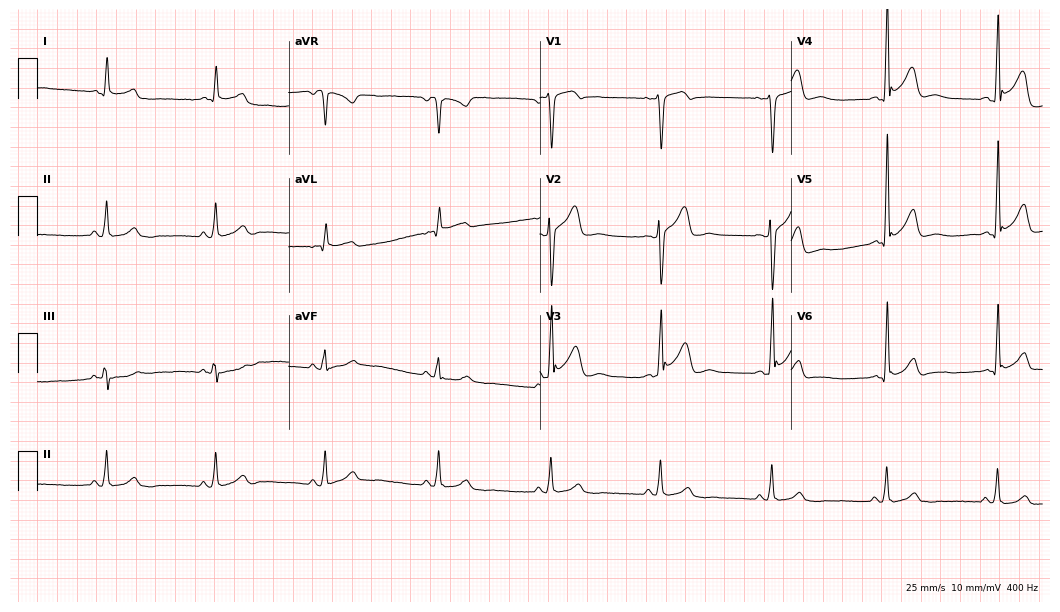
12-lead ECG from a man, 44 years old. No first-degree AV block, right bundle branch block (RBBB), left bundle branch block (LBBB), sinus bradycardia, atrial fibrillation (AF) or sinus tachycardia recorded for this tracing. Only these six findings were labelled.